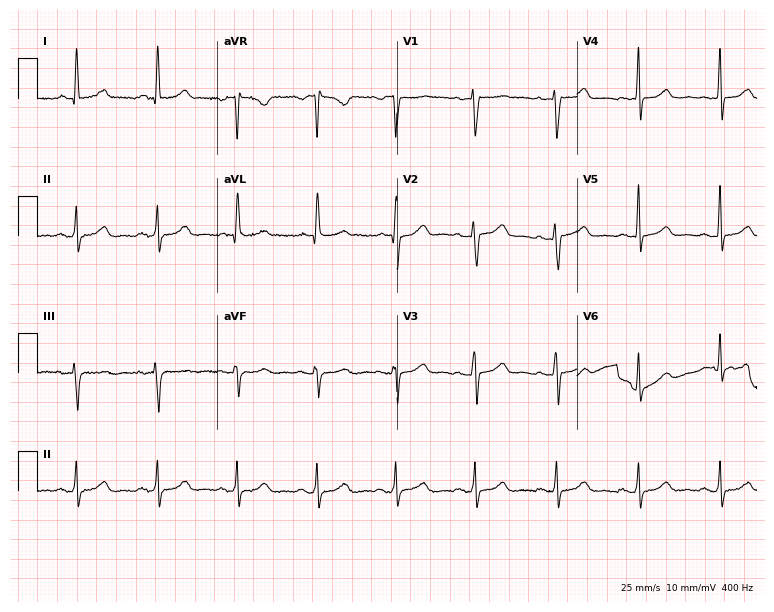
Electrocardiogram, a 59-year-old woman. Overall reading on record: normal ECG.